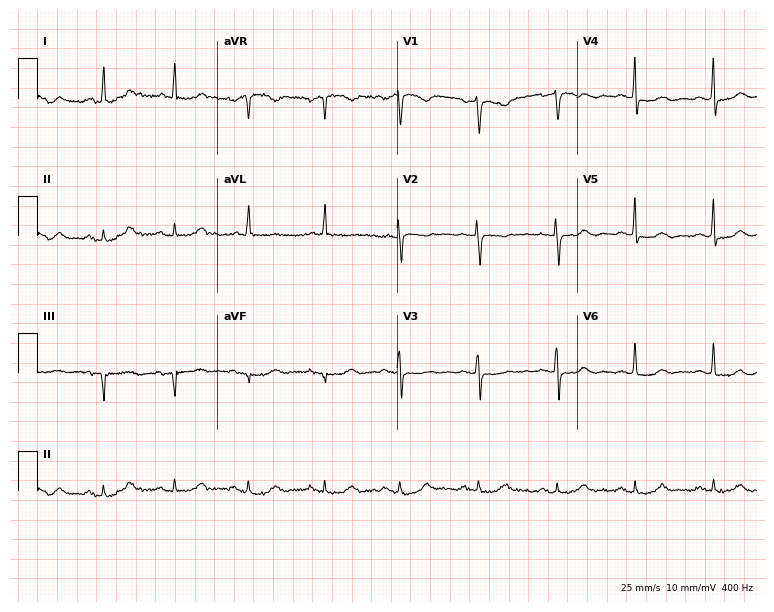
12-lead ECG from a 75-year-old female patient. Recorded interpretation: within normal limits.